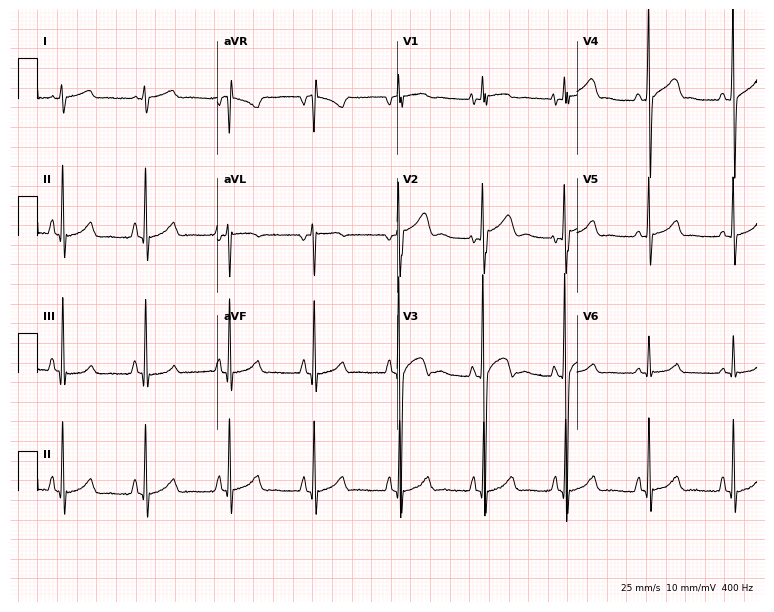
12-lead ECG from a male patient, 17 years old (7.3-second recording at 400 Hz). Recorded interpretation: within normal limits.